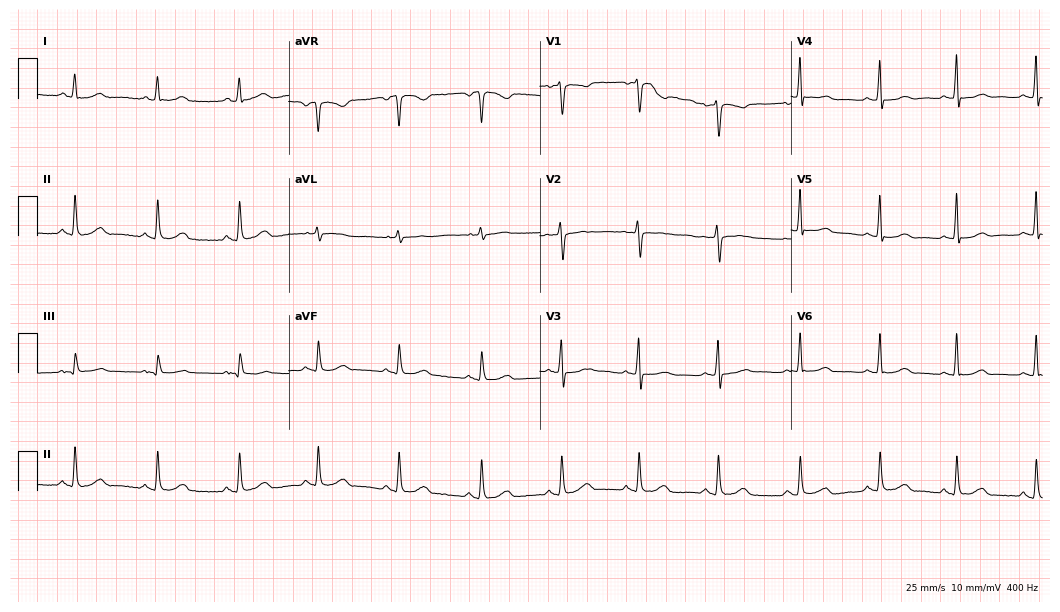
12-lead ECG from a 51-year-old woman. Labelled as a normal ECG.